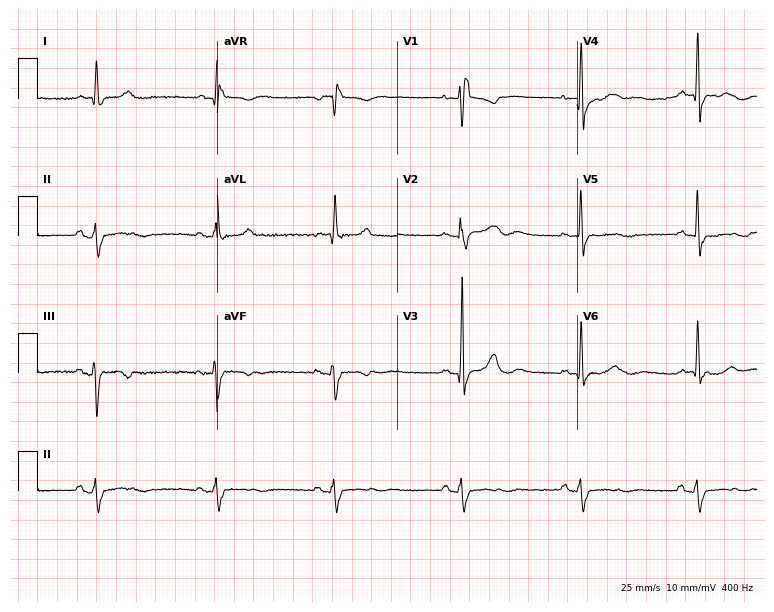
Resting 12-lead electrocardiogram (7.3-second recording at 400 Hz). Patient: a female, 61 years old. The tracing shows right bundle branch block, sinus bradycardia (a sinus rate of 50 beats per minute or less).